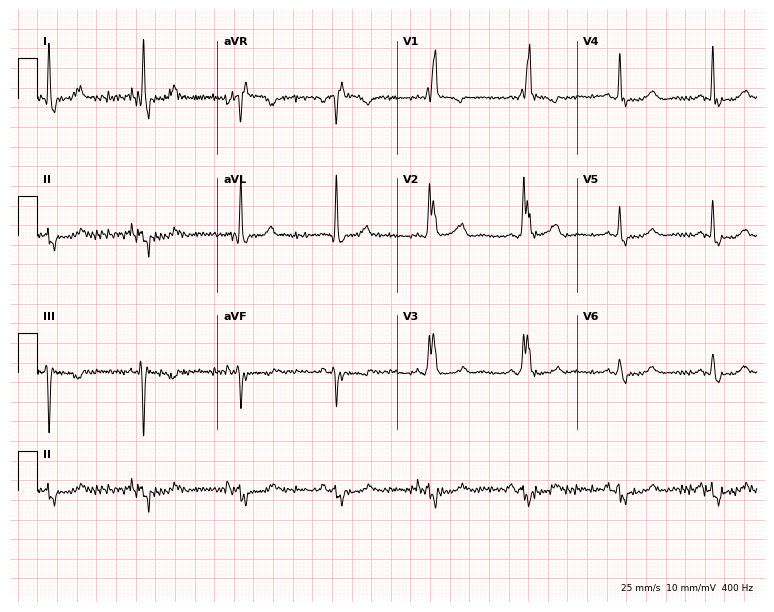
12-lead ECG from a 73-year-old woman (7.3-second recording at 400 Hz). Shows right bundle branch block (RBBB).